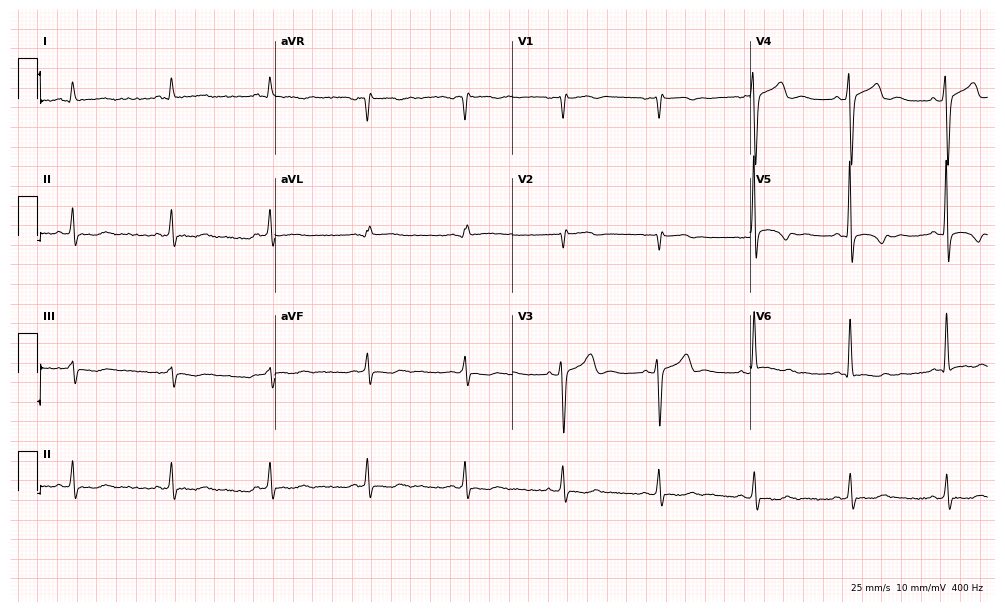
Electrocardiogram, a male patient, 51 years old. Of the six screened findings (first-degree AV block, right bundle branch block (RBBB), left bundle branch block (LBBB), sinus bradycardia, atrial fibrillation (AF), sinus tachycardia), none is recorded.